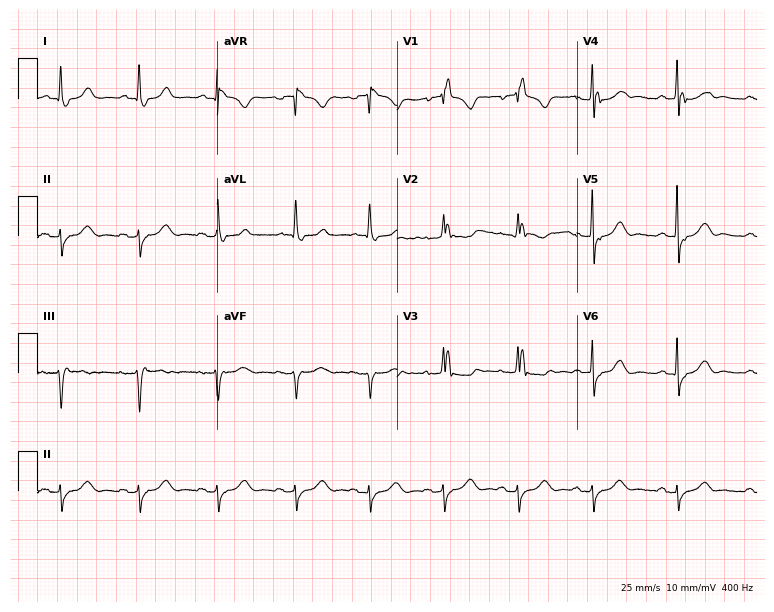
12-lead ECG (7.3-second recording at 400 Hz) from a female, 71 years old. Findings include right bundle branch block.